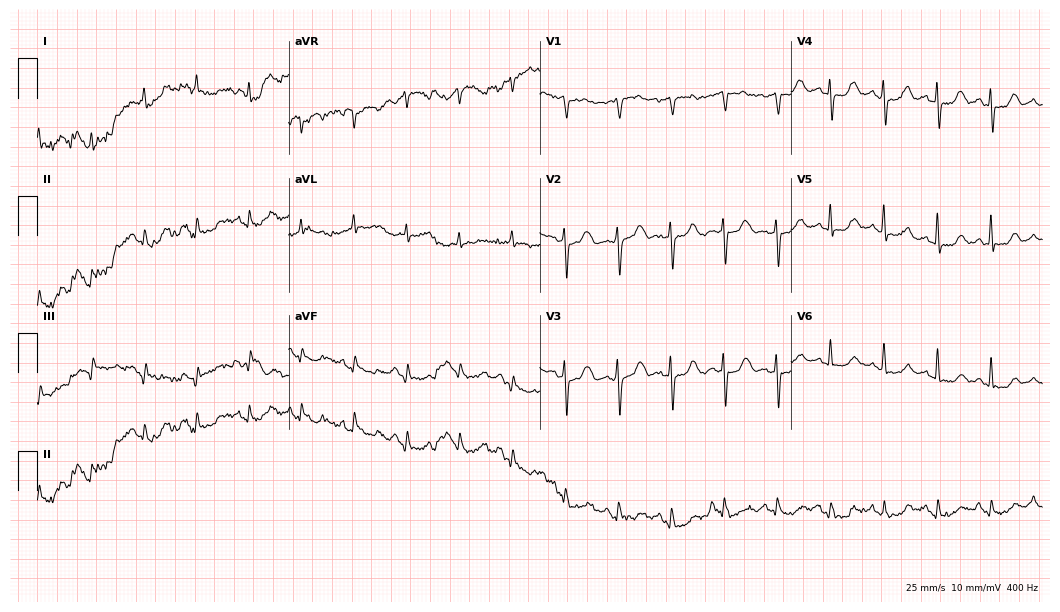
ECG — a female patient, 72 years old. Screened for six findings — first-degree AV block, right bundle branch block, left bundle branch block, sinus bradycardia, atrial fibrillation, sinus tachycardia — none is recorded. Findings outside these six are not listed.